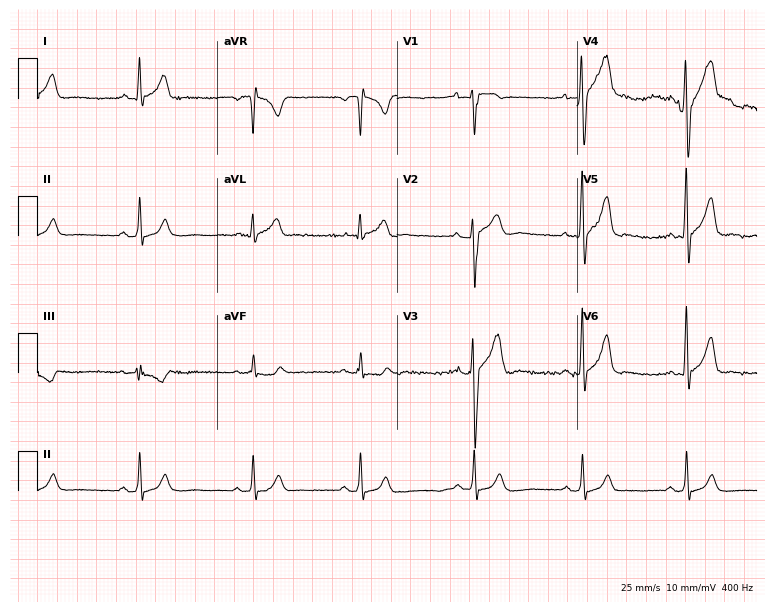
Electrocardiogram (7.3-second recording at 400 Hz), a male, 23 years old. Of the six screened findings (first-degree AV block, right bundle branch block (RBBB), left bundle branch block (LBBB), sinus bradycardia, atrial fibrillation (AF), sinus tachycardia), none is recorded.